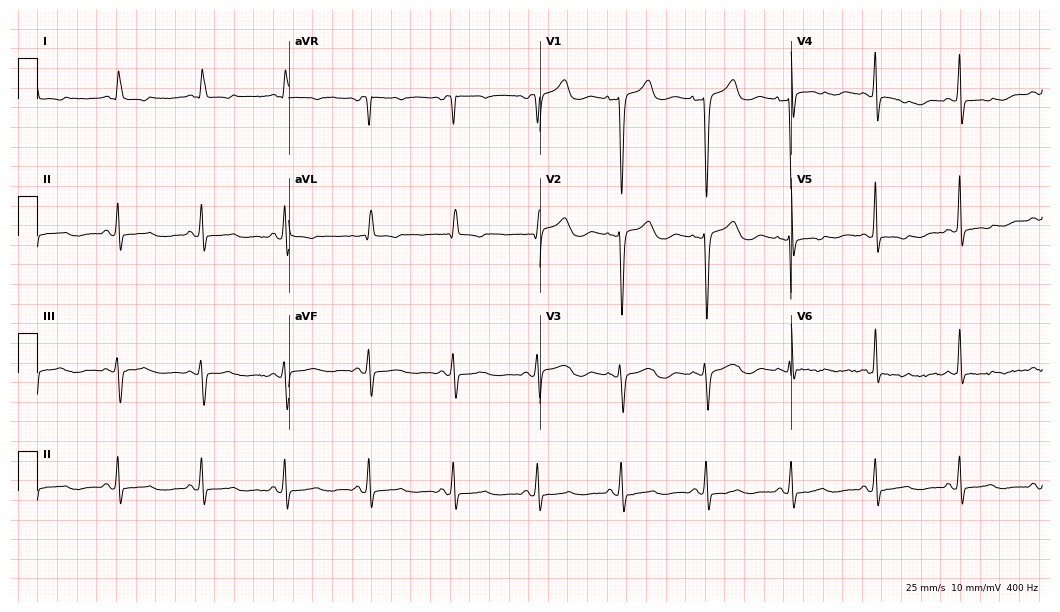
Standard 12-lead ECG recorded from a 51-year-old woman. None of these six findings is recorded: first-degree AV block, right bundle branch block, left bundle branch block, sinus bradycardia, atrial fibrillation, sinus tachycardia. Only these six findings were labelled.